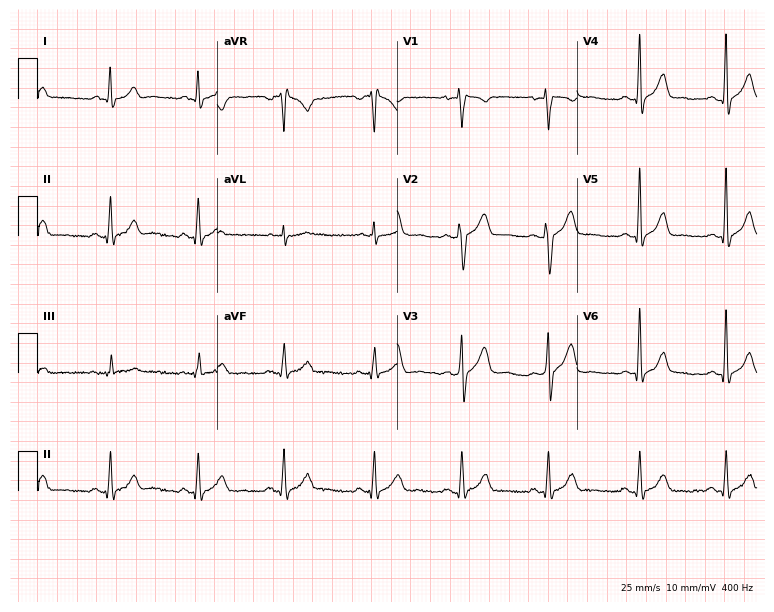
ECG — a man, 33 years old. Labelled as a normal ECG.